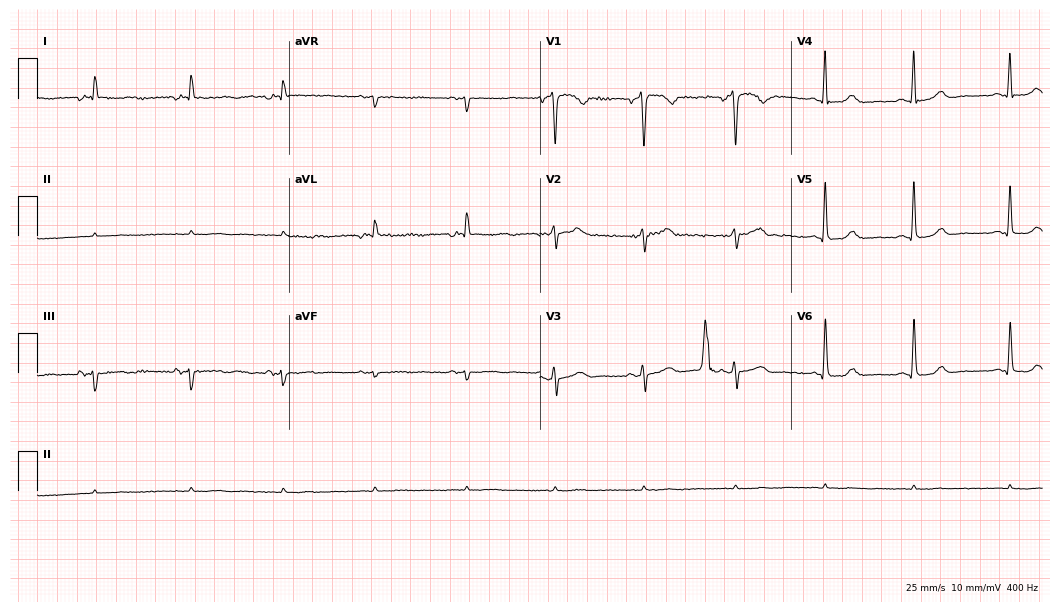
Electrocardiogram, a 40-year-old female. Of the six screened findings (first-degree AV block, right bundle branch block, left bundle branch block, sinus bradycardia, atrial fibrillation, sinus tachycardia), none is recorded.